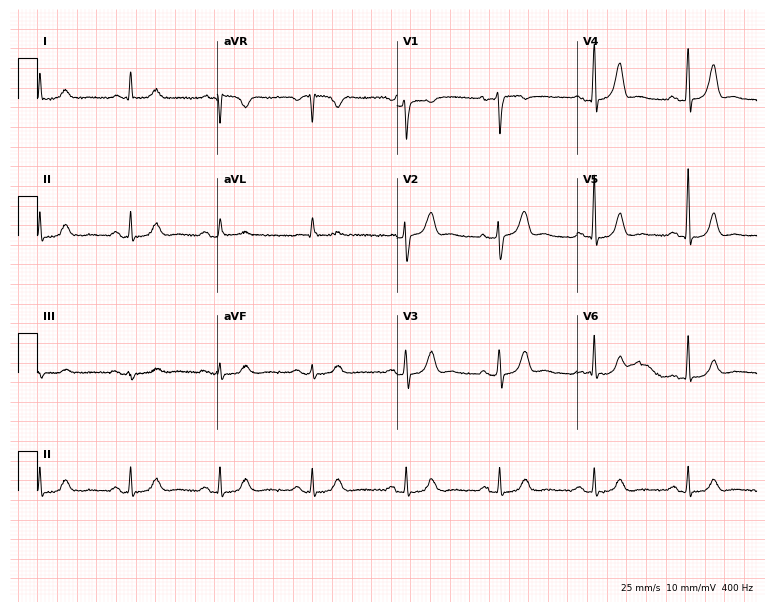
ECG (7.3-second recording at 400 Hz) — a male, 76 years old. Labelled as a normal ECG.